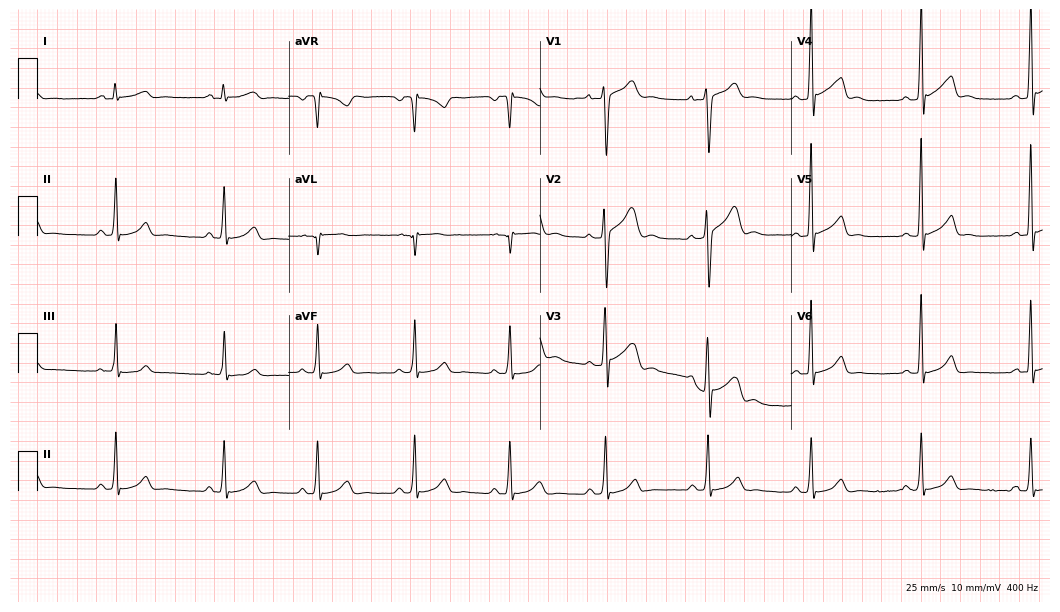
ECG — a male, 22 years old. Labelled as a normal ECG.